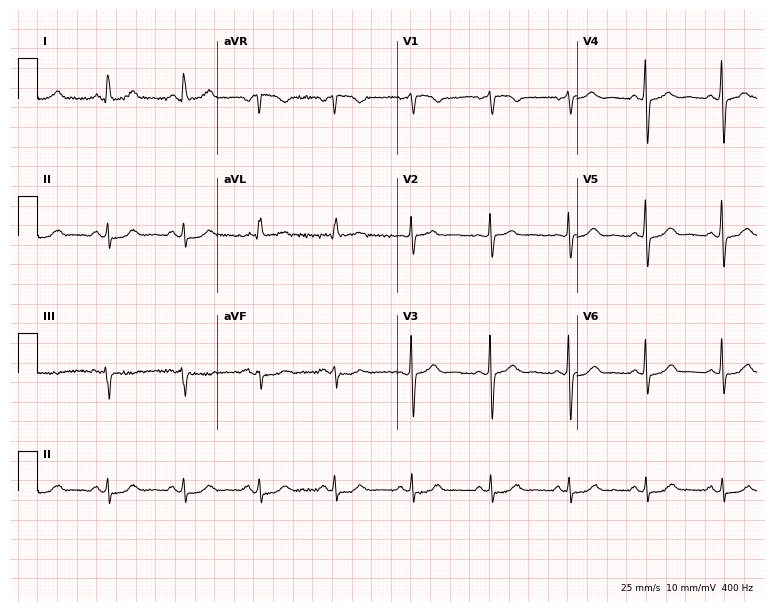
Standard 12-lead ECG recorded from a woman, 66 years old (7.3-second recording at 400 Hz). Read as a normal ECG.